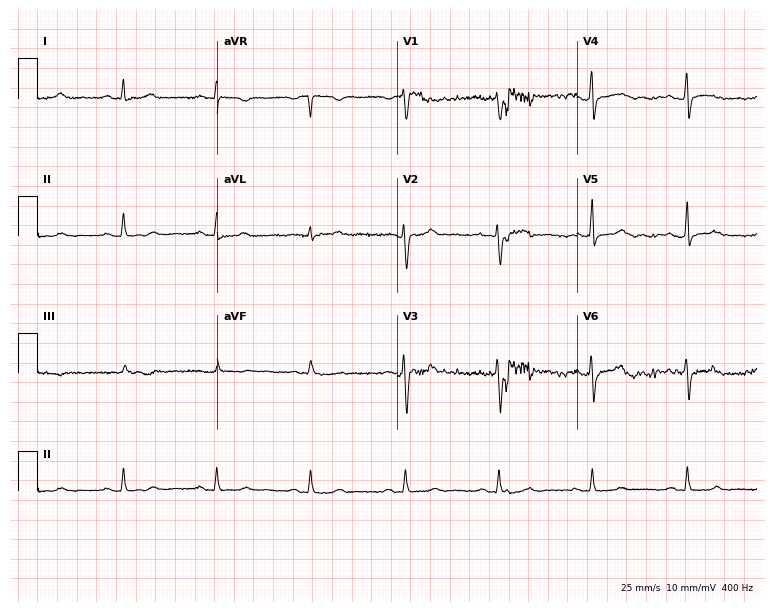
12-lead ECG (7.3-second recording at 400 Hz) from a female, 36 years old. Screened for six findings — first-degree AV block, right bundle branch block (RBBB), left bundle branch block (LBBB), sinus bradycardia, atrial fibrillation (AF), sinus tachycardia — none is recorded. Other findings, if any, are not listed.